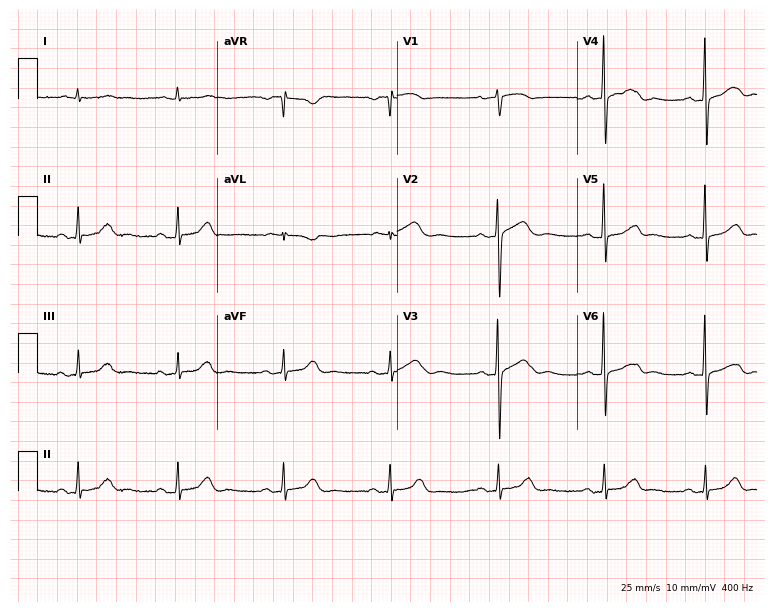
ECG — a woman, 68 years old. Screened for six findings — first-degree AV block, right bundle branch block, left bundle branch block, sinus bradycardia, atrial fibrillation, sinus tachycardia — none is recorded. Only these six findings were labelled.